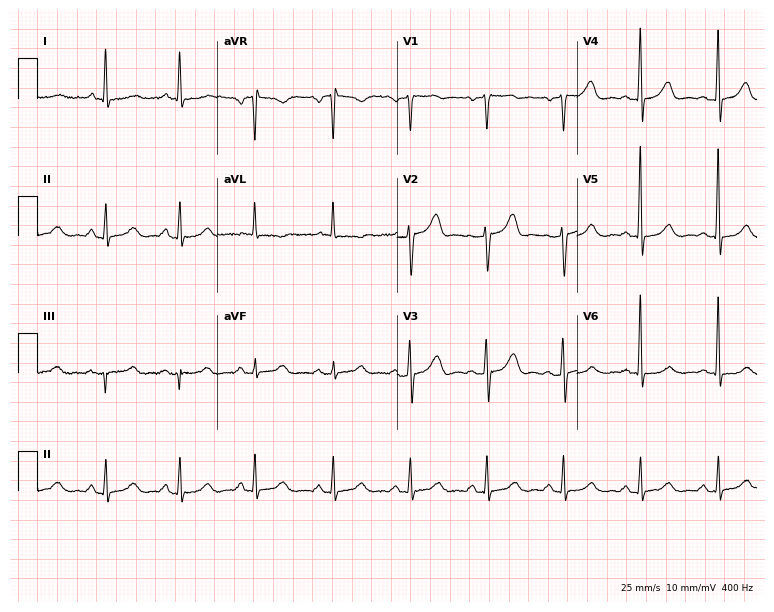
Resting 12-lead electrocardiogram. Patient: a female, 77 years old. None of these six findings is recorded: first-degree AV block, right bundle branch block, left bundle branch block, sinus bradycardia, atrial fibrillation, sinus tachycardia.